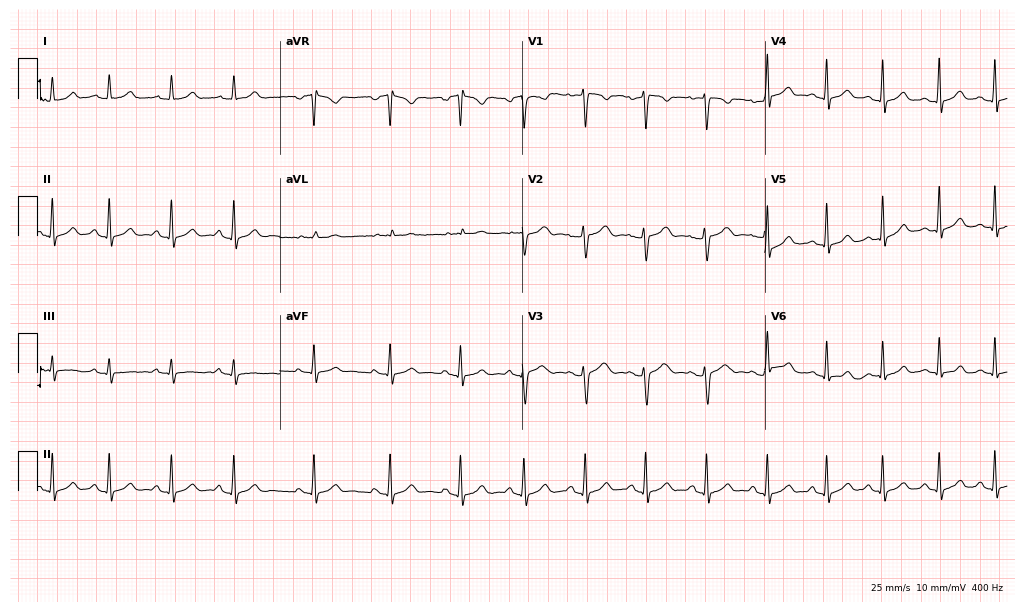
Standard 12-lead ECG recorded from a woman, 26 years old. Read as a normal ECG.